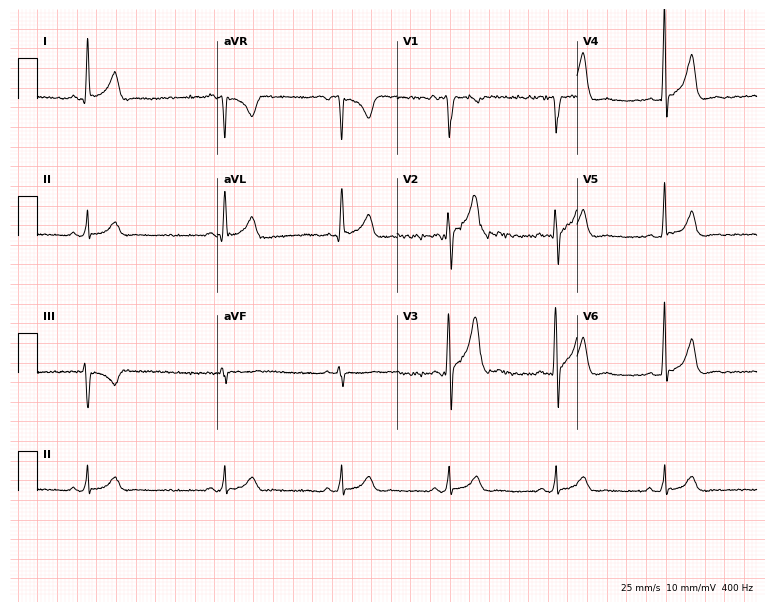
Resting 12-lead electrocardiogram (7.3-second recording at 400 Hz). Patient: a male, 29 years old. Read as a normal ECG.